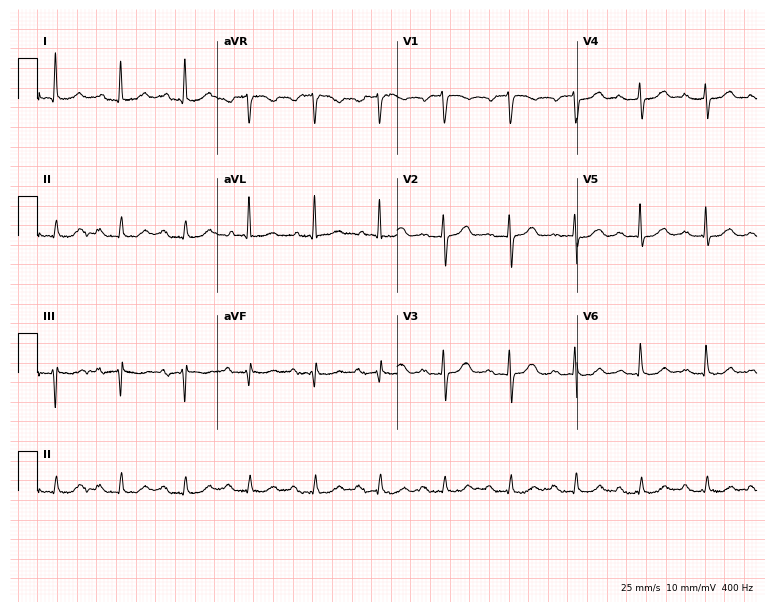
12-lead ECG from a 78-year-old male (7.3-second recording at 400 Hz). Recorded interpretation: within normal limits.